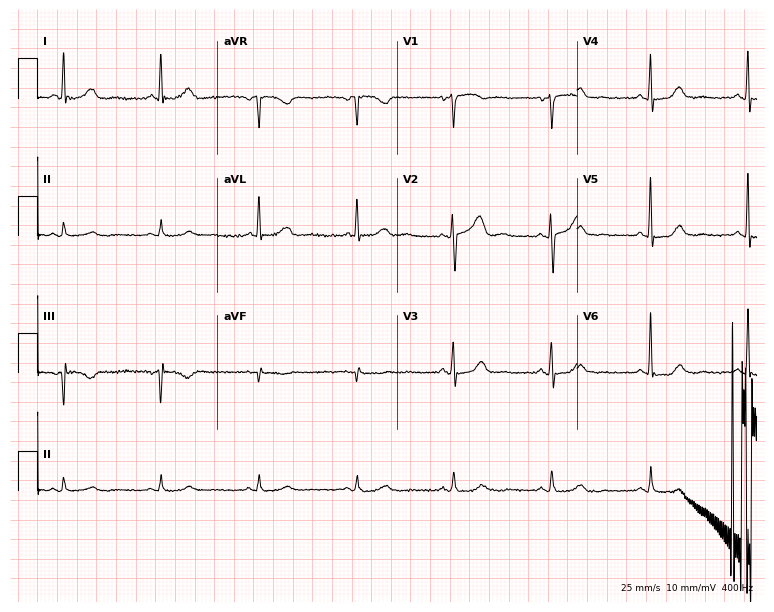
Electrocardiogram (7.3-second recording at 400 Hz), a 67-year-old female. Overall reading on record: normal ECG.